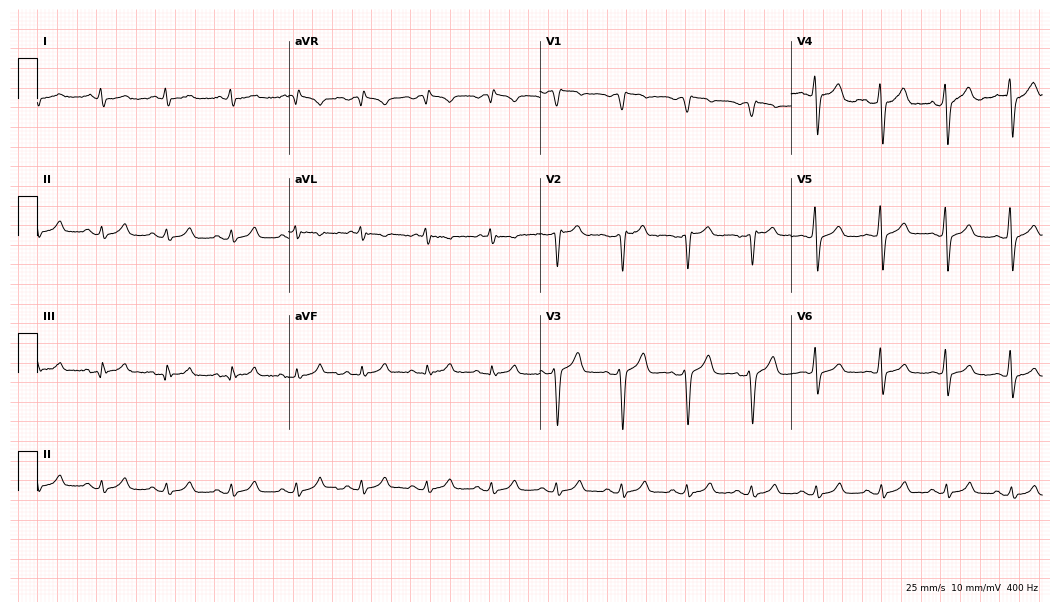
12-lead ECG from a 56-year-old male. Labelled as a normal ECG.